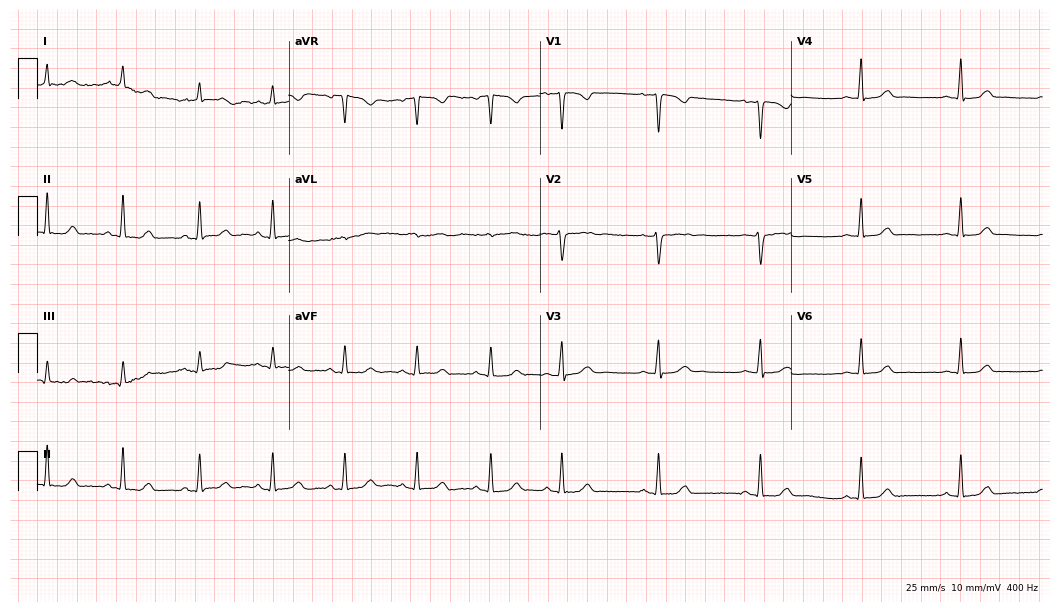
ECG — a female, 25 years old. Labelled as a normal ECG.